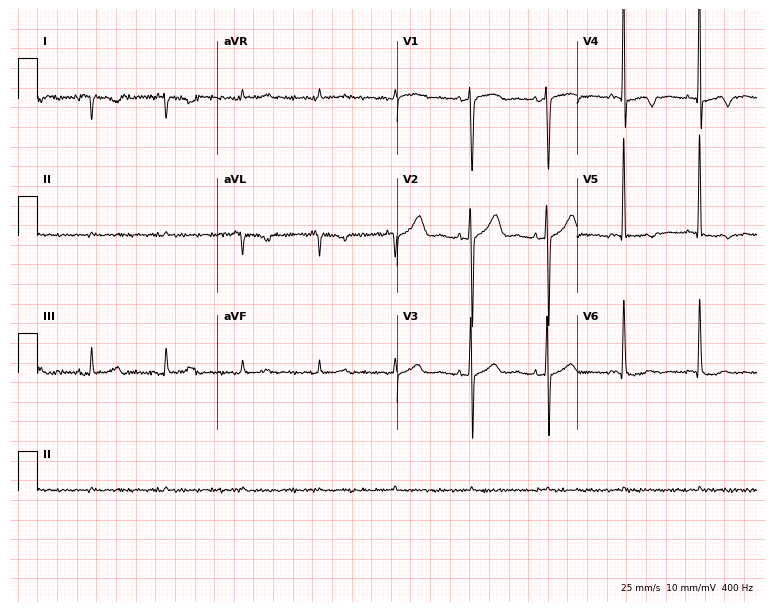
Resting 12-lead electrocardiogram. Patient: a female, 85 years old. None of these six findings is recorded: first-degree AV block, right bundle branch block, left bundle branch block, sinus bradycardia, atrial fibrillation, sinus tachycardia.